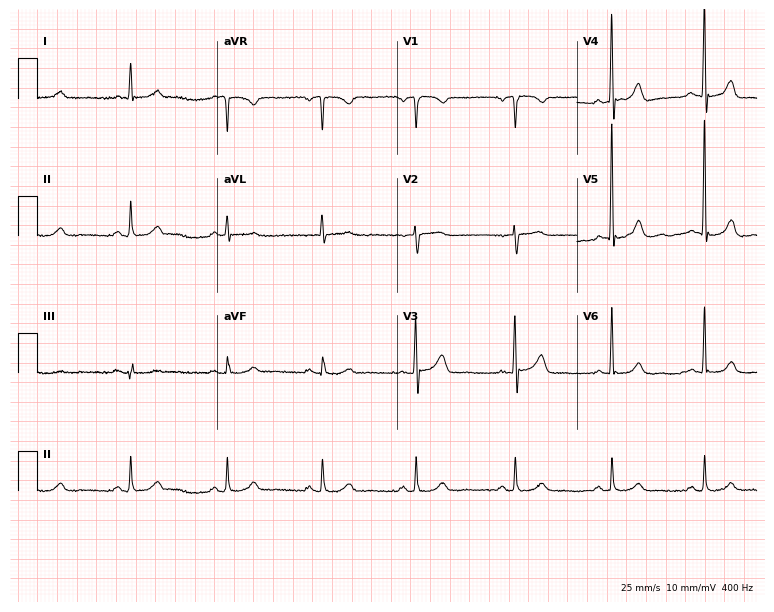
Electrocardiogram (7.3-second recording at 400 Hz), a 72-year-old woman. Overall reading on record: normal ECG.